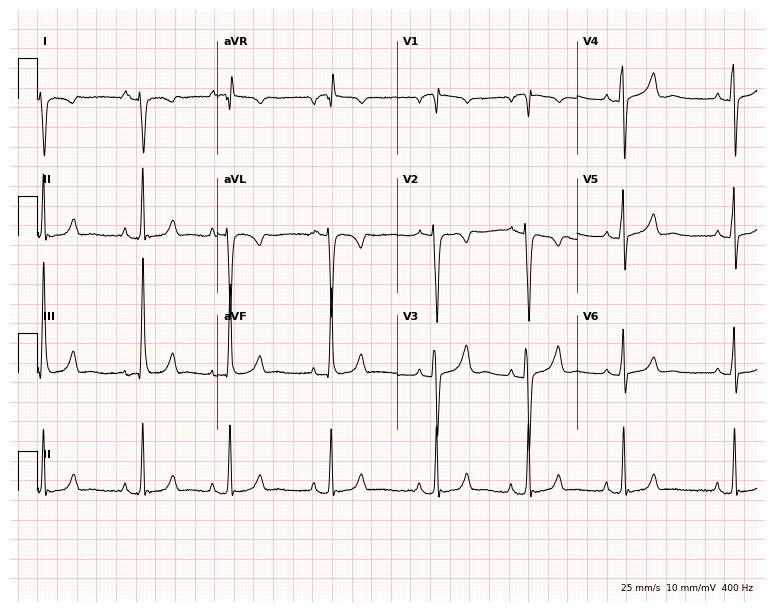
12-lead ECG from a 20-year-old female. Screened for six findings — first-degree AV block, right bundle branch block, left bundle branch block, sinus bradycardia, atrial fibrillation, sinus tachycardia — none is recorded. Findings outside these six are not listed.